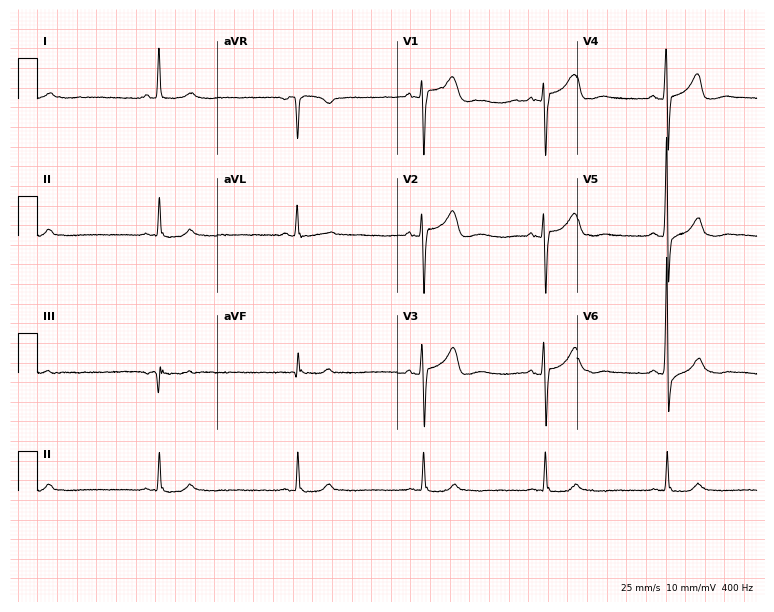
12-lead ECG from a man, 78 years old. No first-degree AV block, right bundle branch block, left bundle branch block, sinus bradycardia, atrial fibrillation or sinus tachycardia recorded for this tracing. Only these six findings were labelled.